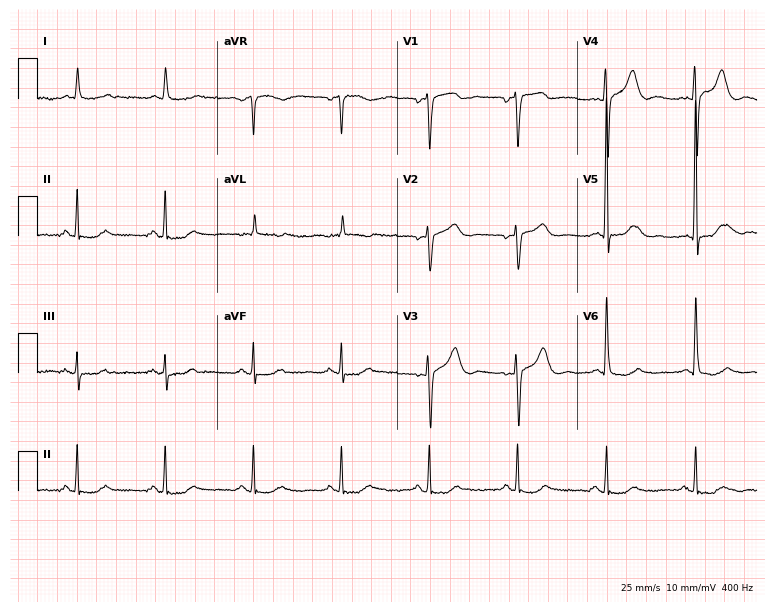
ECG — a man, 72 years old. Screened for six findings — first-degree AV block, right bundle branch block, left bundle branch block, sinus bradycardia, atrial fibrillation, sinus tachycardia — none is recorded.